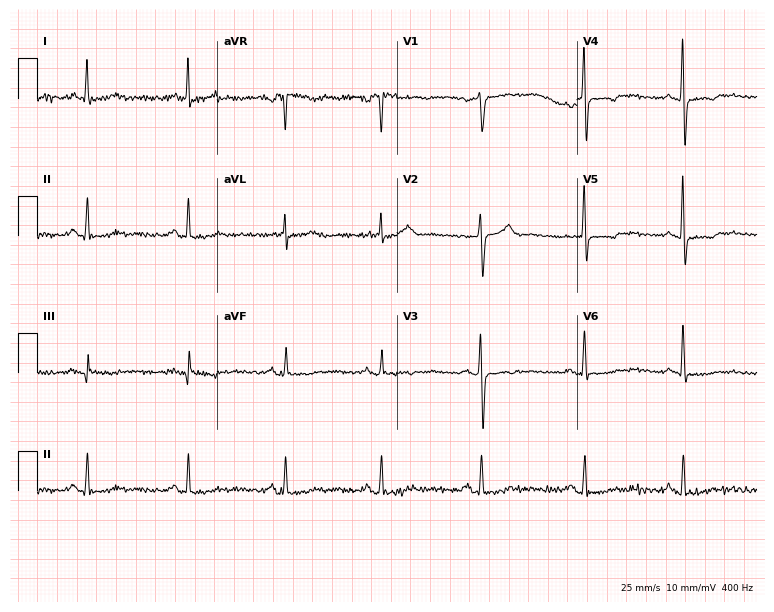
Electrocardiogram (7.3-second recording at 400 Hz), a 49-year-old female patient. Overall reading on record: normal ECG.